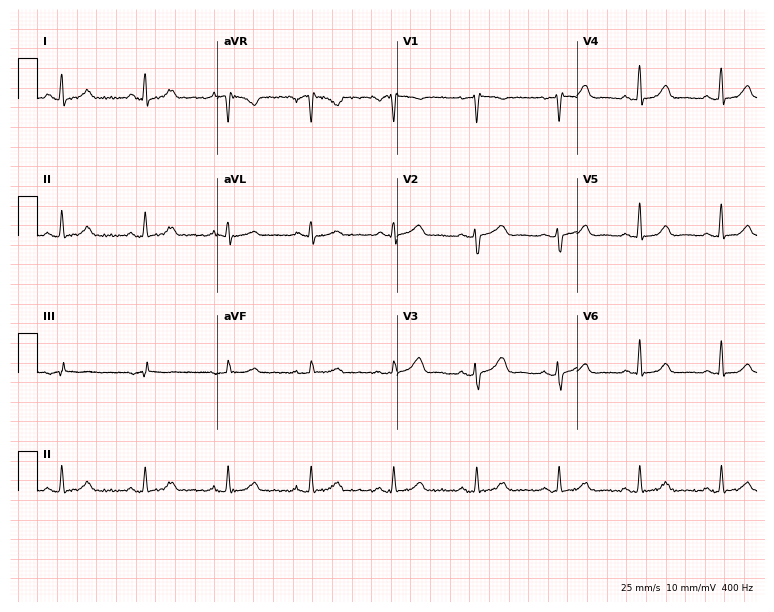
12-lead ECG from a 44-year-old female. Labelled as a normal ECG.